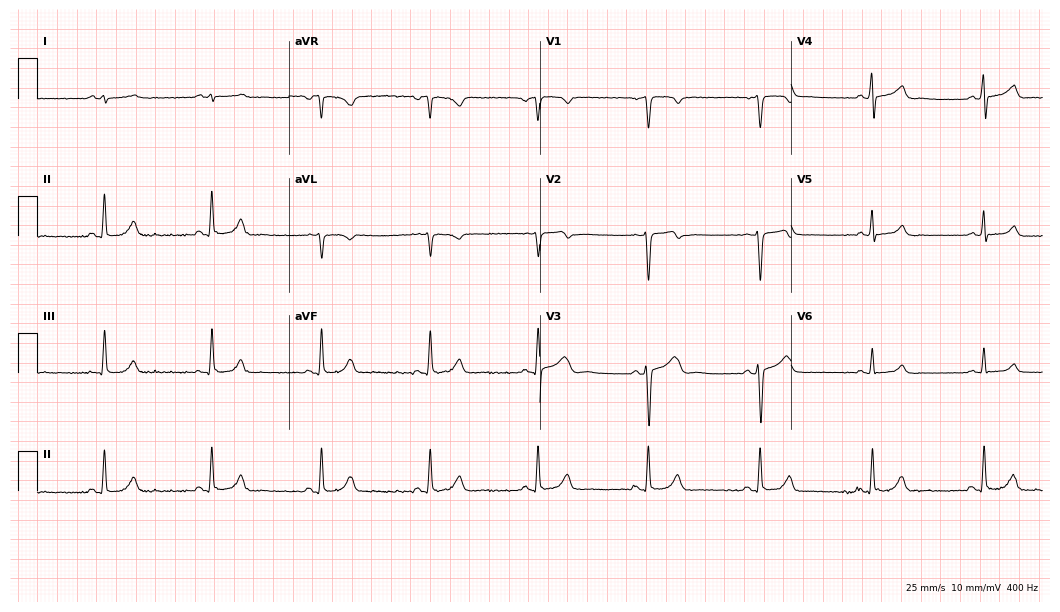
ECG (10.2-second recording at 400 Hz) — a man, 43 years old. Labelled as a normal ECG.